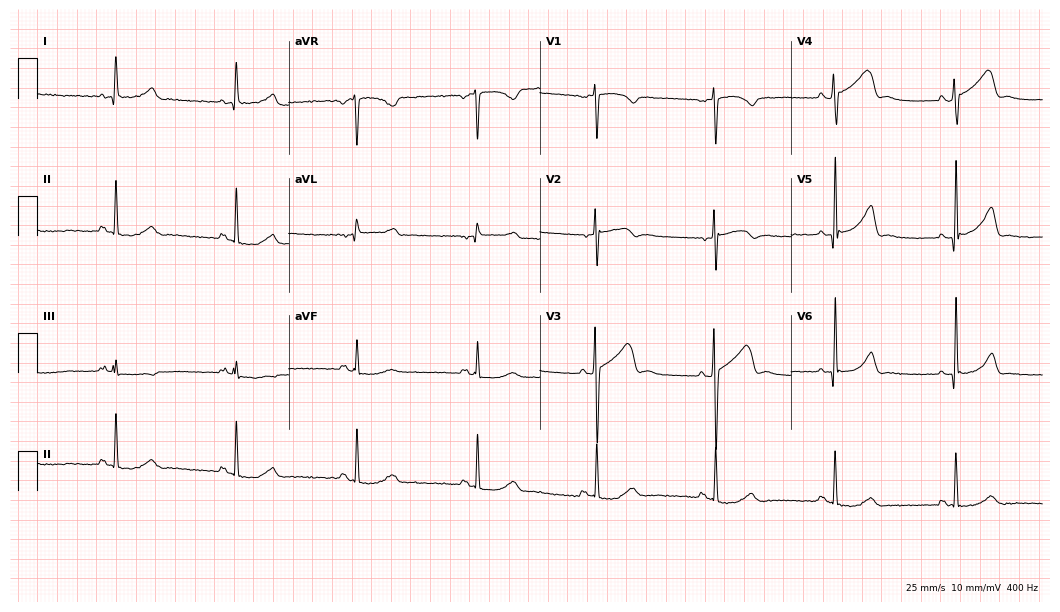
Standard 12-lead ECG recorded from a 33-year-old female patient. The tracing shows sinus bradycardia (a sinus rate of 50 beats per minute or less).